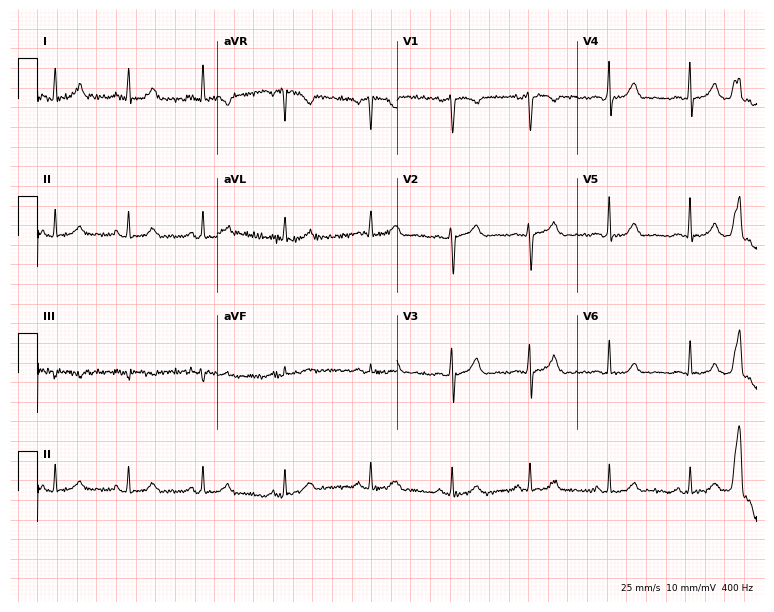
Electrocardiogram, a 40-year-old male. Of the six screened findings (first-degree AV block, right bundle branch block, left bundle branch block, sinus bradycardia, atrial fibrillation, sinus tachycardia), none is recorded.